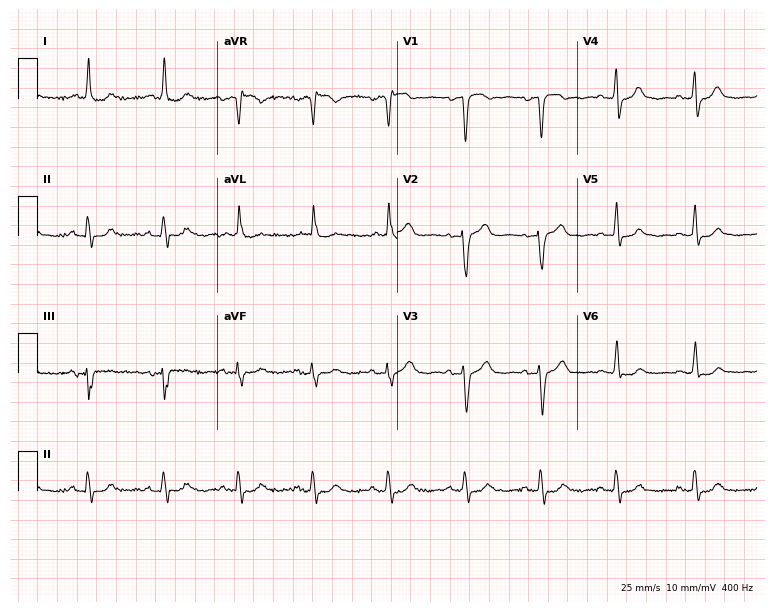
12-lead ECG from an 81-year-old woman. No first-degree AV block, right bundle branch block (RBBB), left bundle branch block (LBBB), sinus bradycardia, atrial fibrillation (AF) or sinus tachycardia recorded for this tracing.